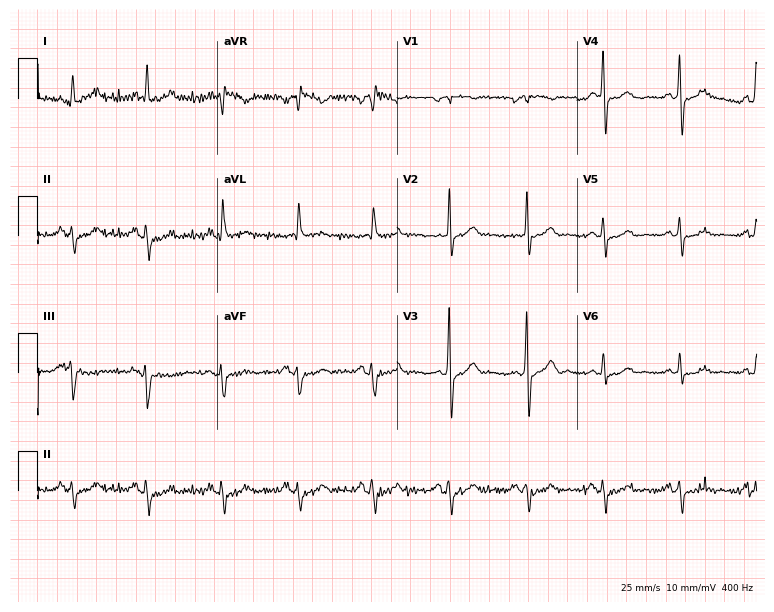
Resting 12-lead electrocardiogram. Patient: a man, 74 years old. None of these six findings is recorded: first-degree AV block, right bundle branch block (RBBB), left bundle branch block (LBBB), sinus bradycardia, atrial fibrillation (AF), sinus tachycardia. Findings outside these six are not listed.